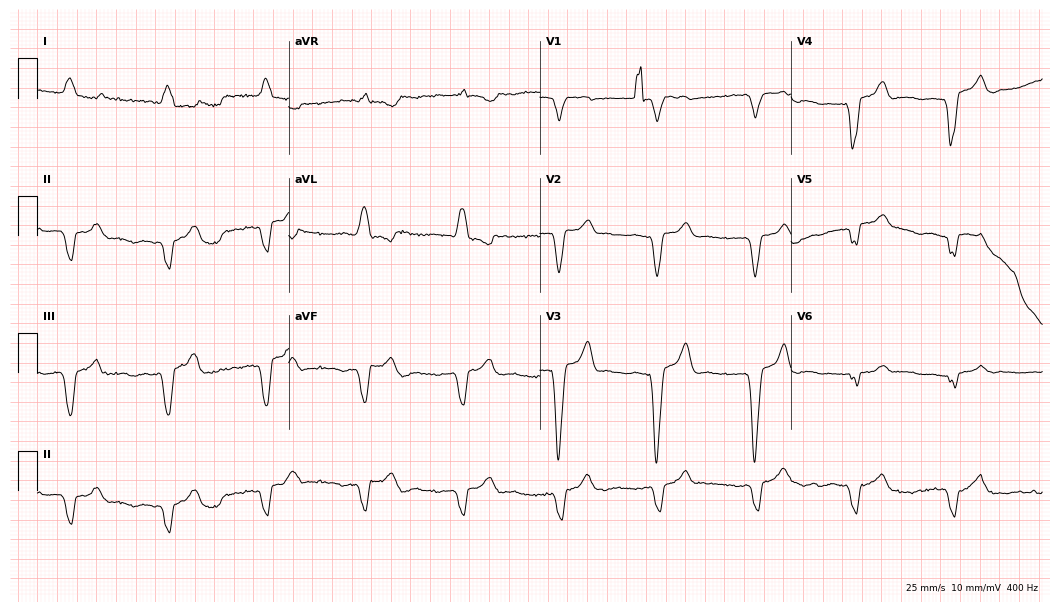
Electrocardiogram, a woman, 73 years old. Of the six screened findings (first-degree AV block, right bundle branch block, left bundle branch block, sinus bradycardia, atrial fibrillation, sinus tachycardia), none is recorded.